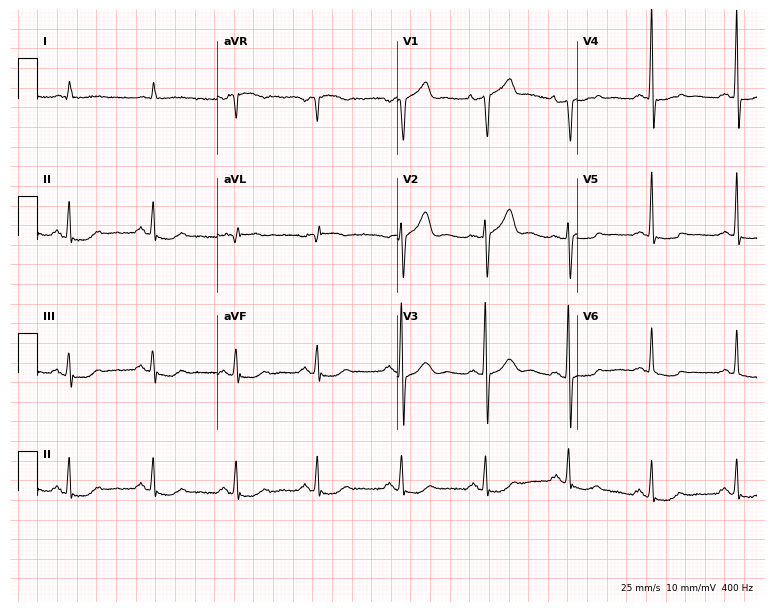
12-lead ECG from a 67-year-old male. No first-degree AV block, right bundle branch block, left bundle branch block, sinus bradycardia, atrial fibrillation or sinus tachycardia recorded for this tracing.